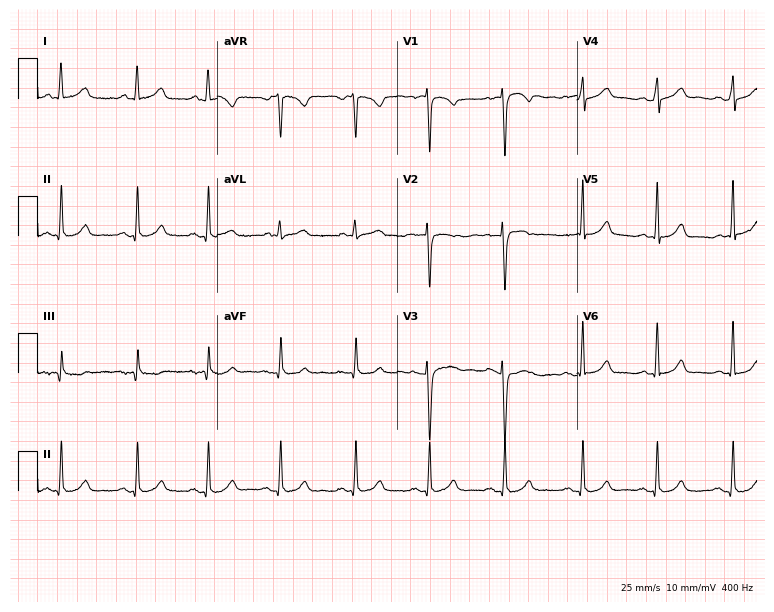
Standard 12-lead ECG recorded from a 24-year-old female (7.3-second recording at 400 Hz). Read as a normal ECG.